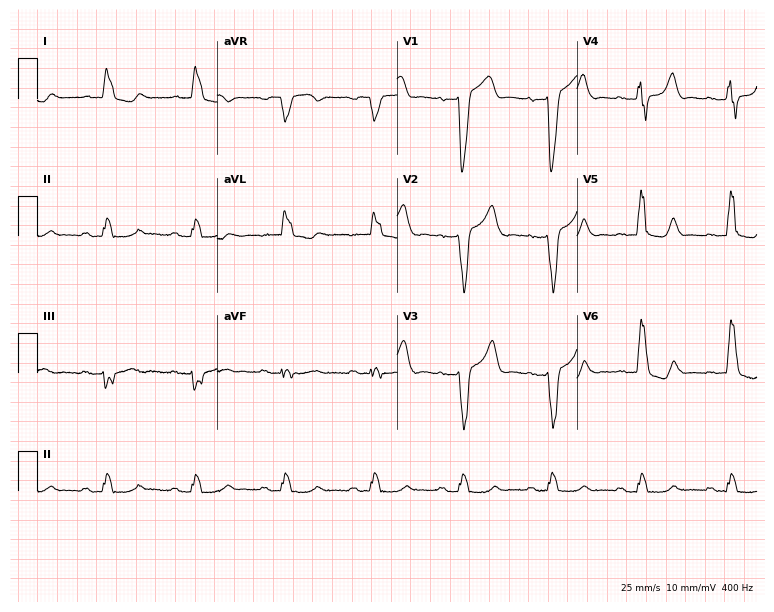
Resting 12-lead electrocardiogram. Patient: a male, 72 years old. The tracing shows left bundle branch block.